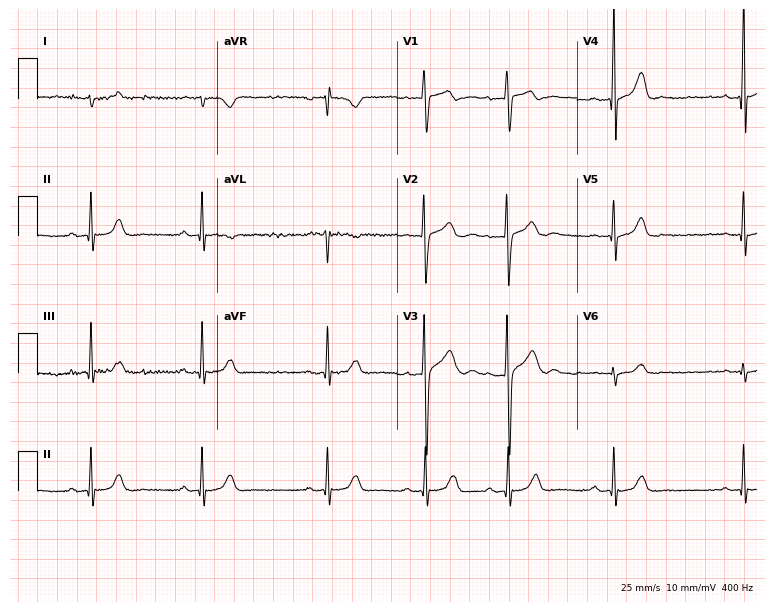
Standard 12-lead ECG recorded from a 22-year-old male patient (7.3-second recording at 400 Hz). Read as a normal ECG.